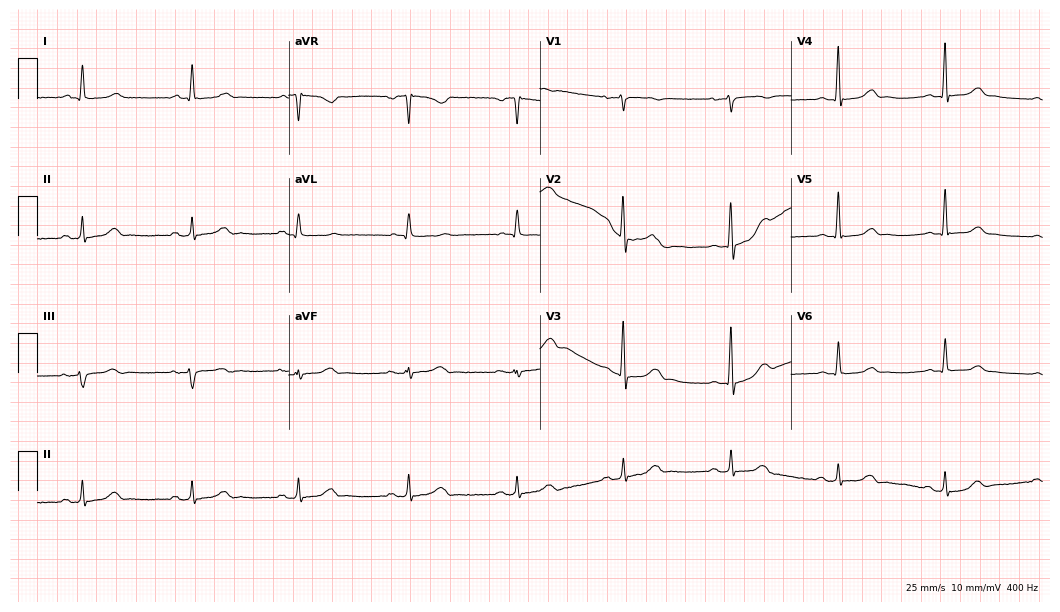
12-lead ECG from a 66-year-old woman. No first-degree AV block, right bundle branch block, left bundle branch block, sinus bradycardia, atrial fibrillation or sinus tachycardia recorded for this tracing. Other findings, if any, are not listed.